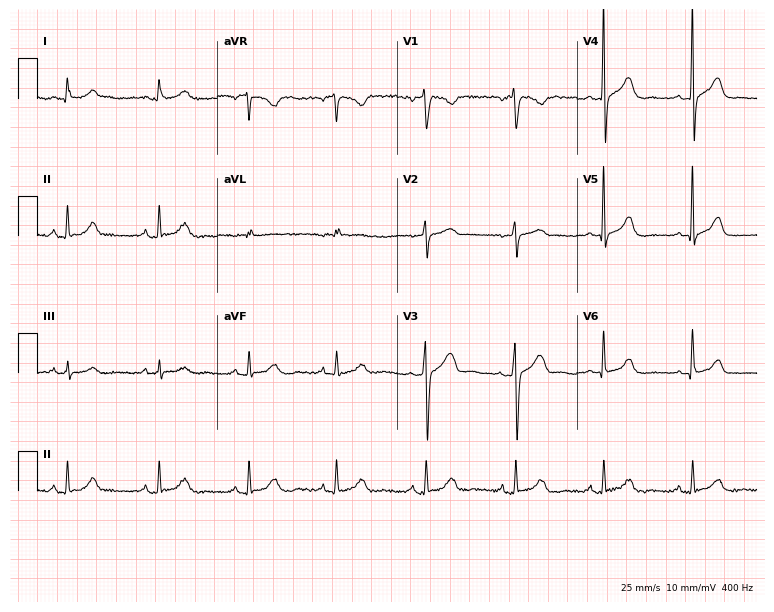
ECG (7.3-second recording at 400 Hz) — a 65-year-old man. Labelled as a normal ECG.